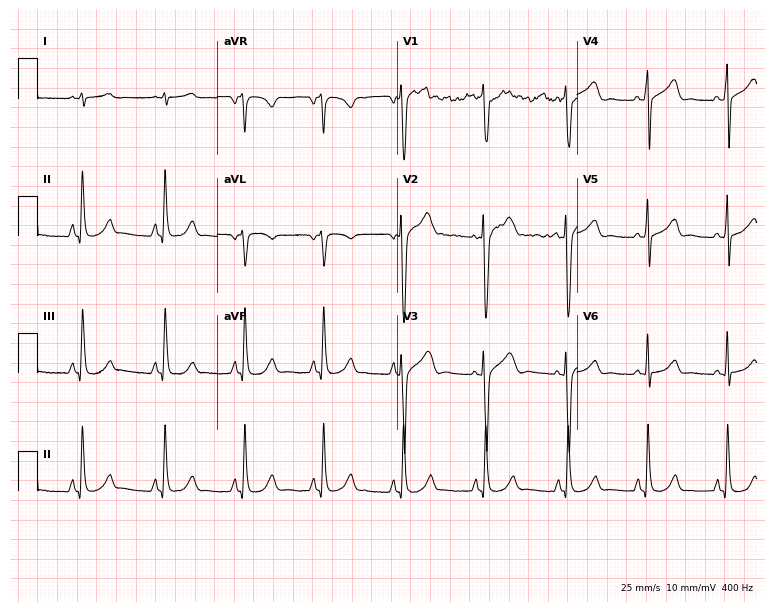
12-lead ECG (7.3-second recording at 400 Hz) from a 28-year-old male patient. Screened for six findings — first-degree AV block, right bundle branch block (RBBB), left bundle branch block (LBBB), sinus bradycardia, atrial fibrillation (AF), sinus tachycardia — none is recorded.